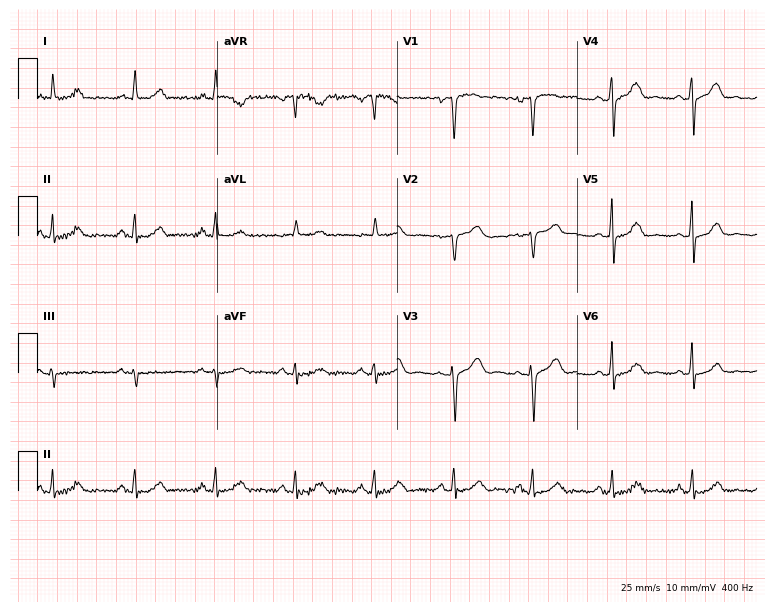
Standard 12-lead ECG recorded from a 58-year-old female. None of these six findings is recorded: first-degree AV block, right bundle branch block (RBBB), left bundle branch block (LBBB), sinus bradycardia, atrial fibrillation (AF), sinus tachycardia.